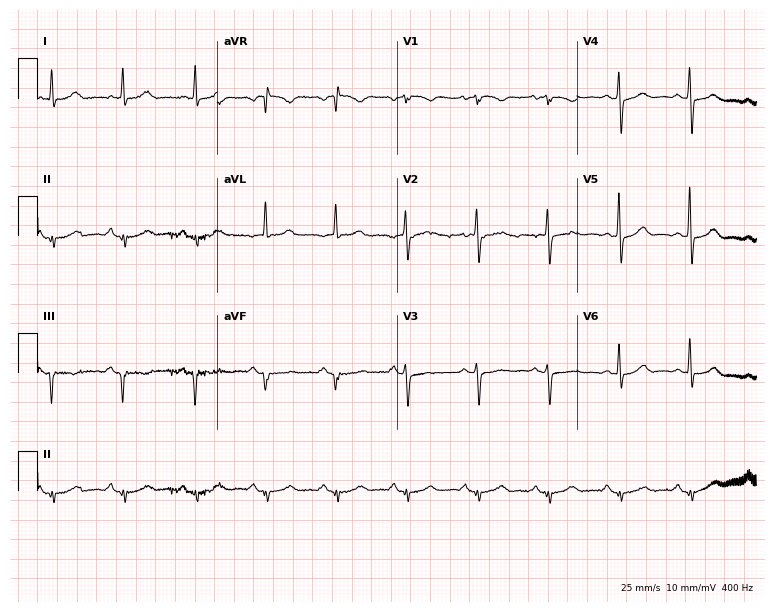
Electrocardiogram (7.3-second recording at 400 Hz), a woman, 76 years old. Of the six screened findings (first-degree AV block, right bundle branch block, left bundle branch block, sinus bradycardia, atrial fibrillation, sinus tachycardia), none is recorded.